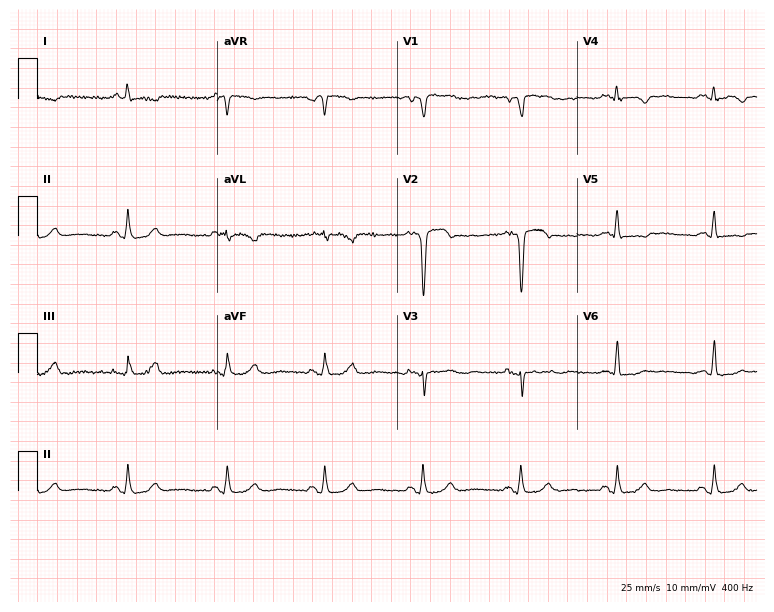
Electrocardiogram (7.3-second recording at 400 Hz), a 55-year-old male patient. Of the six screened findings (first-degree AV block, right bundle branch block, left bundle branch block, sinus bradycardia, atrial fibrillation, sinus tachycardia), none is recorded. Findings outside these six are not listed.